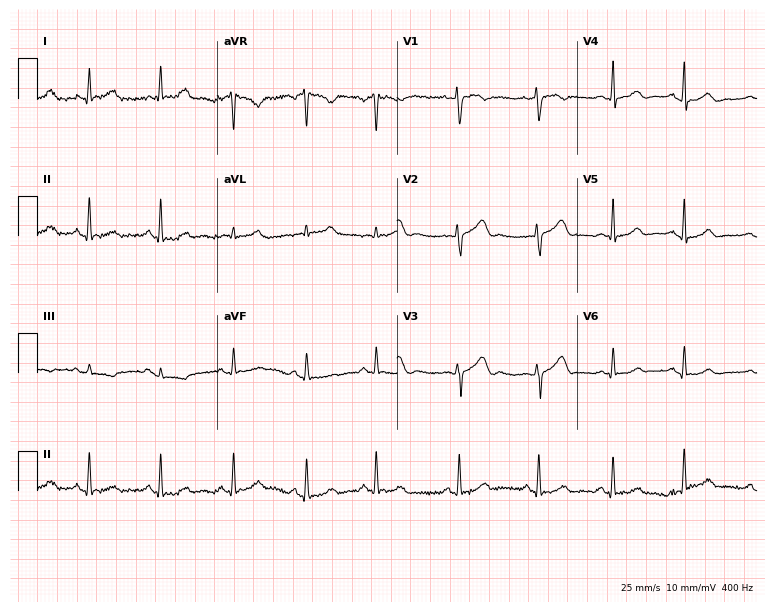
Resting 12-lead electrocardiogram (7.3-second recording at 400 Hz). Patient: a 21-year-old woman. None of these six findings is recorded: first-degree AV block, right bundle branch block, left bundle branch block, sinus bradycardia, atrial fibrillation, sinus tachycardia. Findings outside these six are not listed.